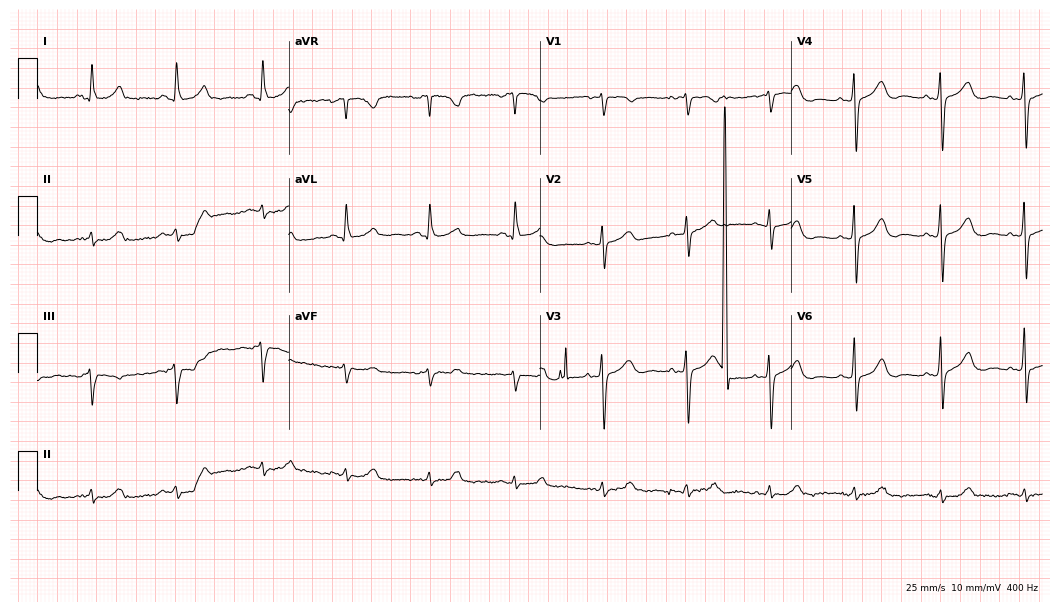
Resting 12-lead electrocardiogram (10.2-second recording at 400 Hz). Patient: a 72-year-old female. None of these six findings is recorded: first-degree AV block, right bundle branch block, left bundle branch block, sinus bradycardia, atrial fibrillation, sinus tachycardia.